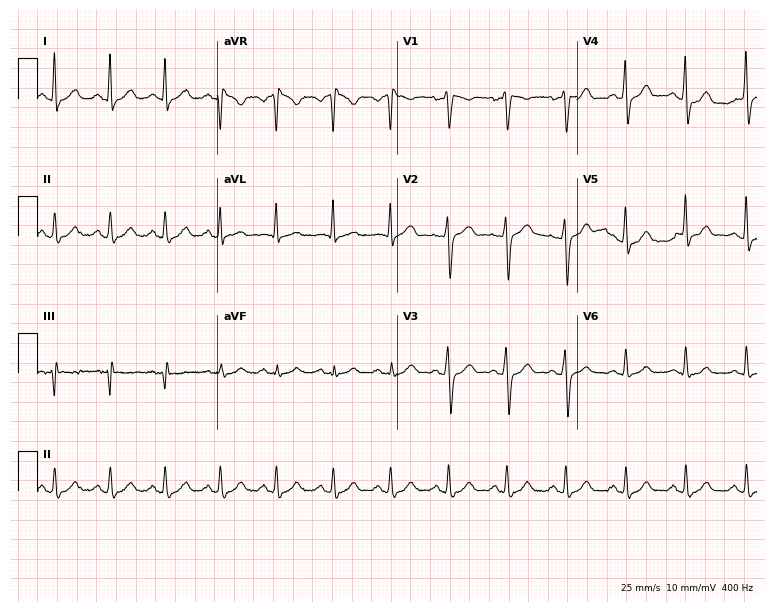
12-lead ECG from a 37-year-old man. Findings include sinus tachycardia (a sinus rate of 100 beats per minute or more).